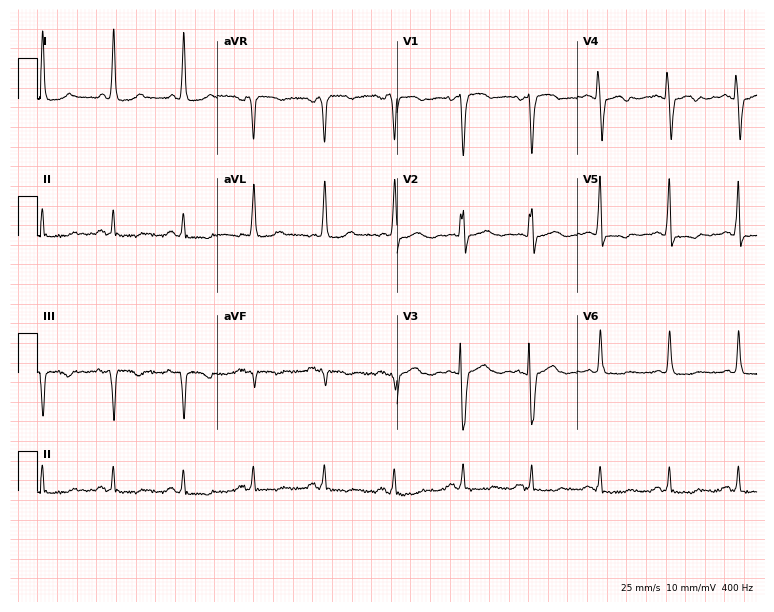
Standard 12-lead ECG recorded from a female, 68 years old (7.3-second recording at 400 Hz). None of these six findings is recorded: first-degree AV block, right bundle branch block (RBBB), left bundle branch block (LBBB), sinus bradycardia, atrial fibrillation (AF), sinus tachycardia. Findings outside these six are not listed.